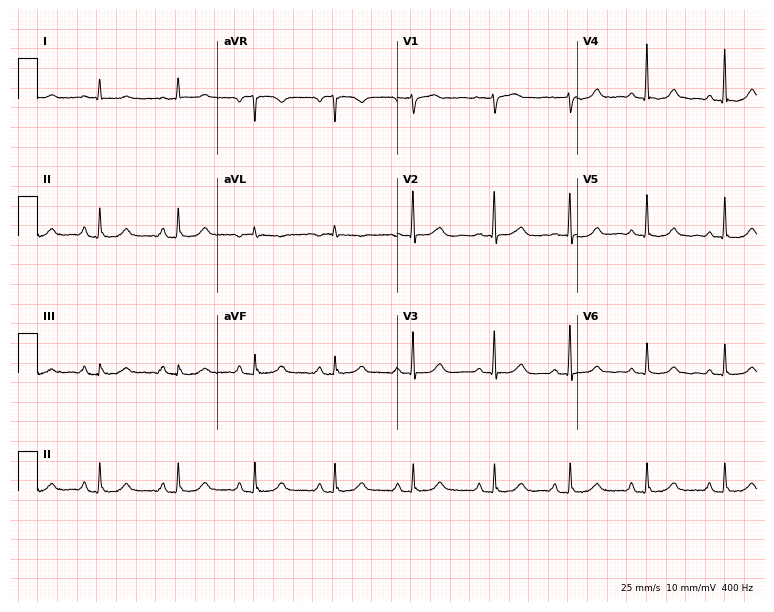
12-lead ECG from a 62-year-old female. Labelled as a normal ECG.